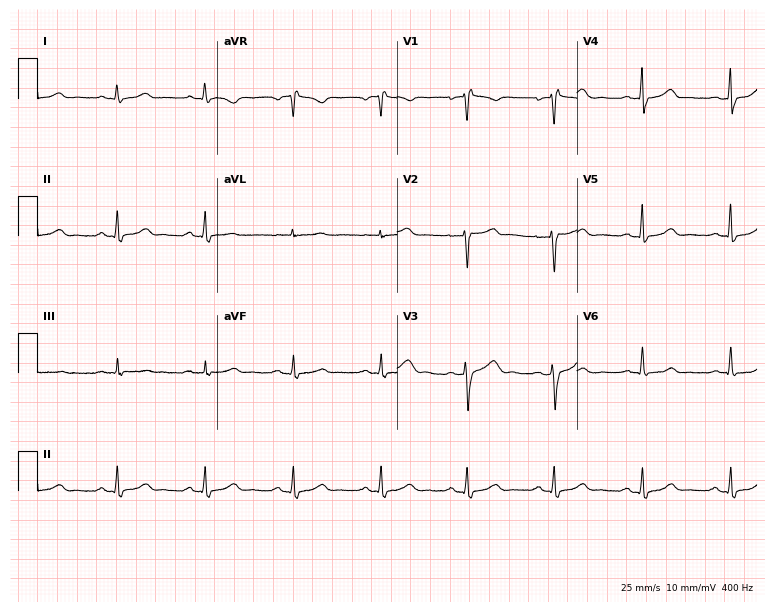
ECG (7.3-second recording at 400 Hz) — a female patient, 47 years old. Screened for six findings — first-degree AV block, right bundle branch block, left bundle branch block, sinus bradycardia, atrial fibrillation, sinus tachycardia — none is recorded.